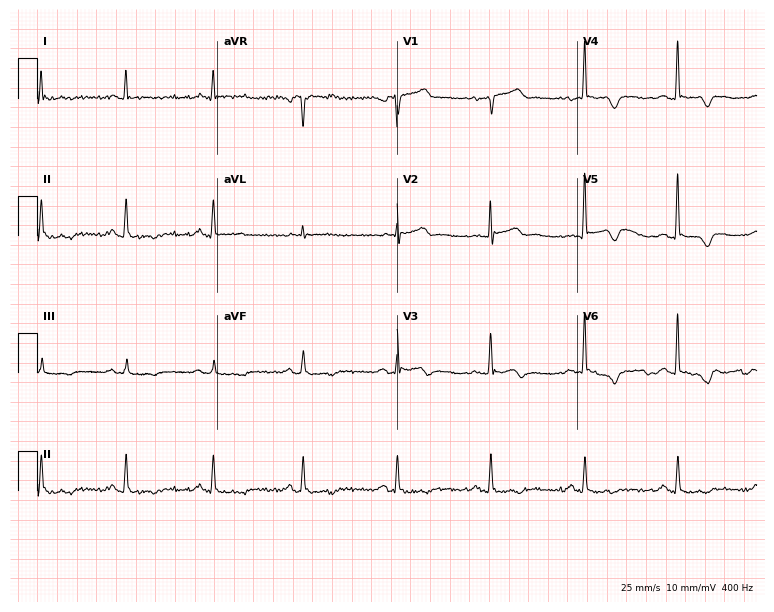
12-lead ECG from a 59-year-old man. No first-degree AV block, right bundle branch block (RBBB), left bundle branch block (LBBB), sinus bradycardia, atrial fibrillation (AF) or sinus tachycardia recorded for this tracing. Other findings, if any, are not listed.